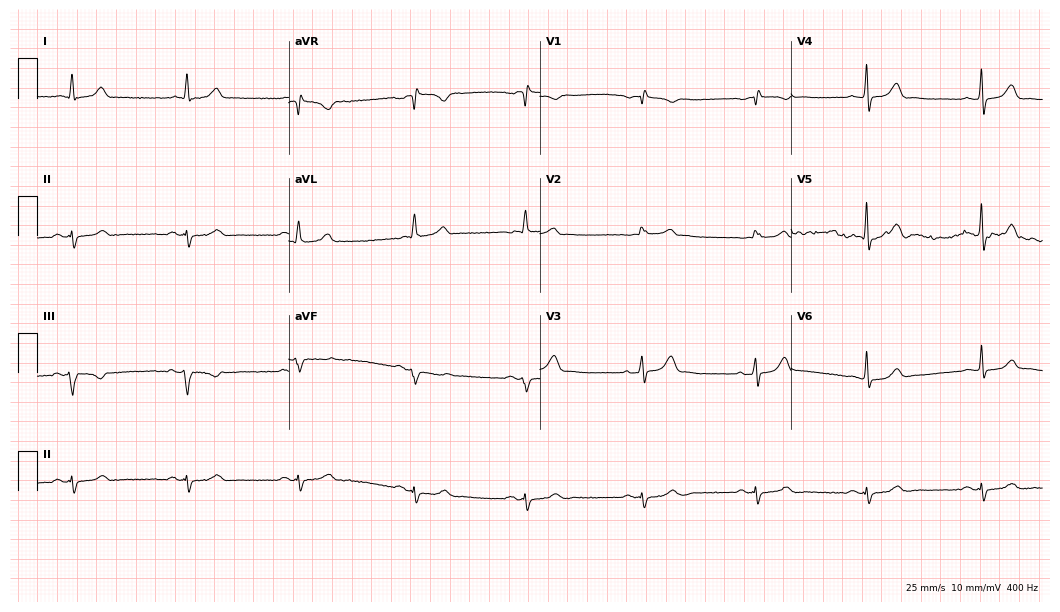
12-lead ECG from a 62-year-old female (10.2-second recording at 400 Hz). No first-degree AV block, right bundle branch block, left bundle branch block, sinus bradycardia, atrial fibrillation or sinus tachycardia recorded for this tracing.